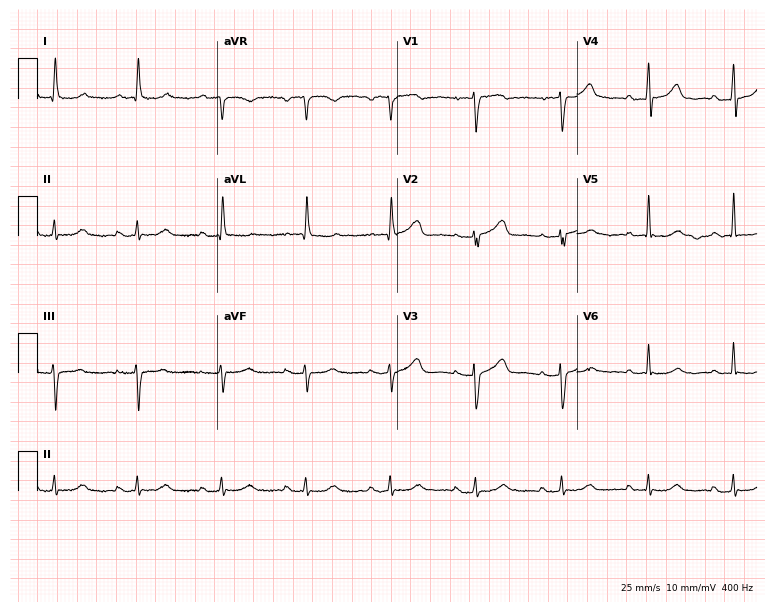
12-lead ECG (7.3-second recording at 400 Hz) from an 82-year-old woman. Findings include first-degree AV block.